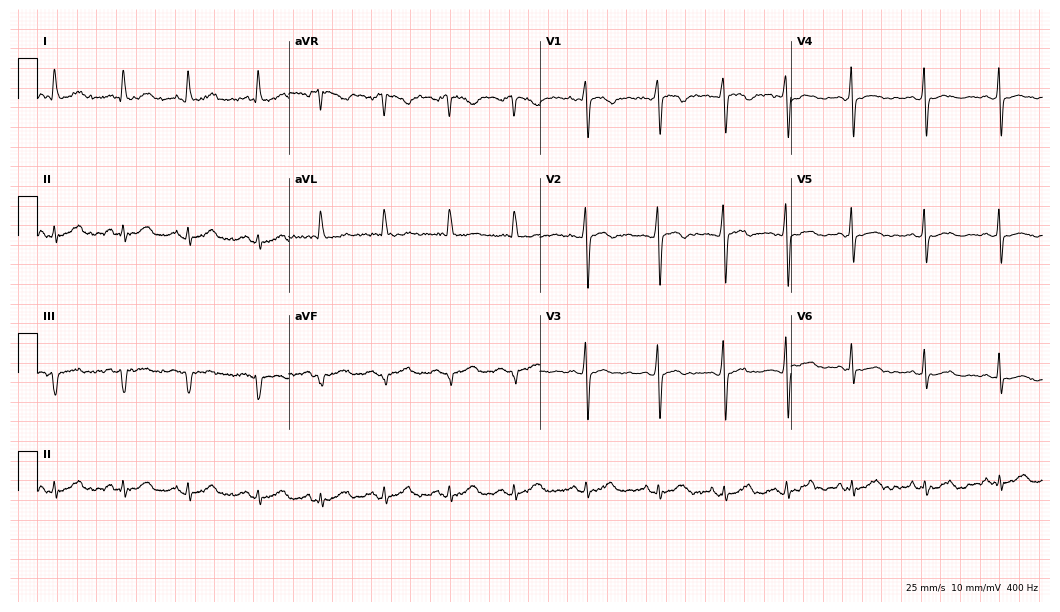
ECG — a female patient, 53 years old. Labelled as a normal ECG.